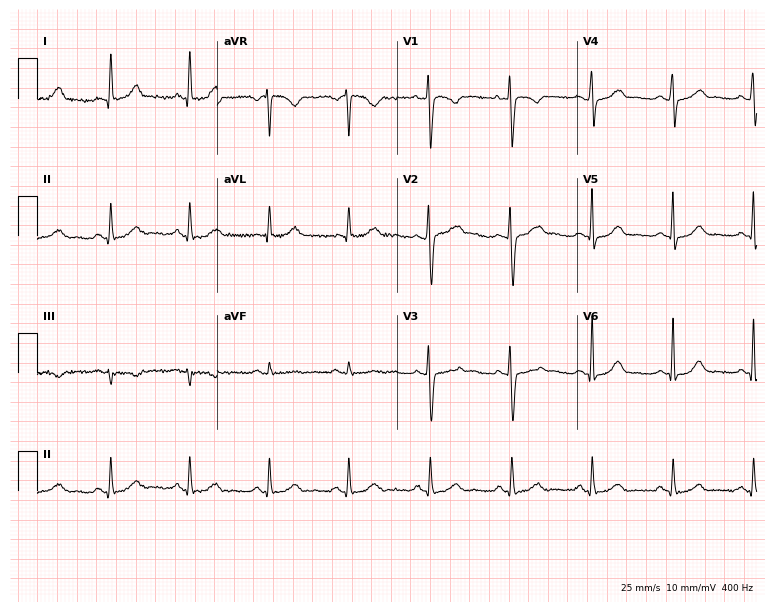
Electrocardiogram, a woman, 34 years old. Overall reading on record: normal ECG.